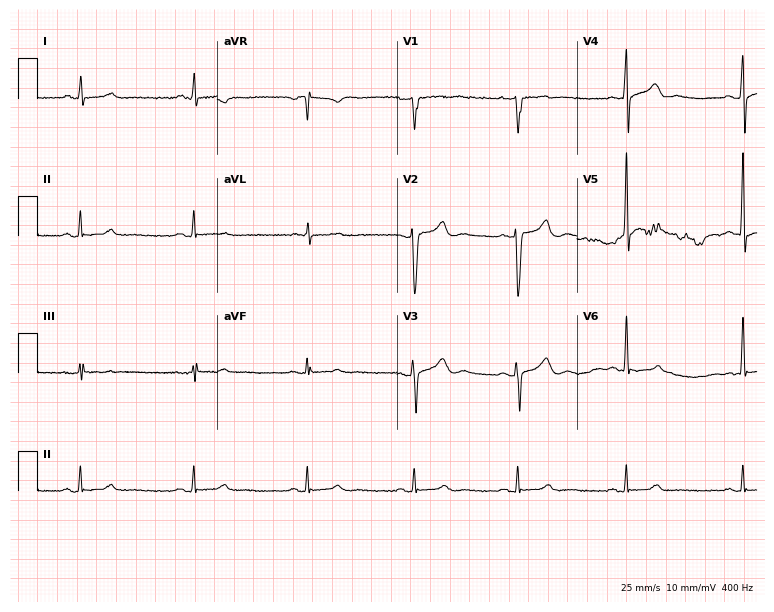
Resting 12-lead electrocardiogram (7.3-second recording at 400 Hz). Patient: a 41-year-old male. Read as a normal ECG.